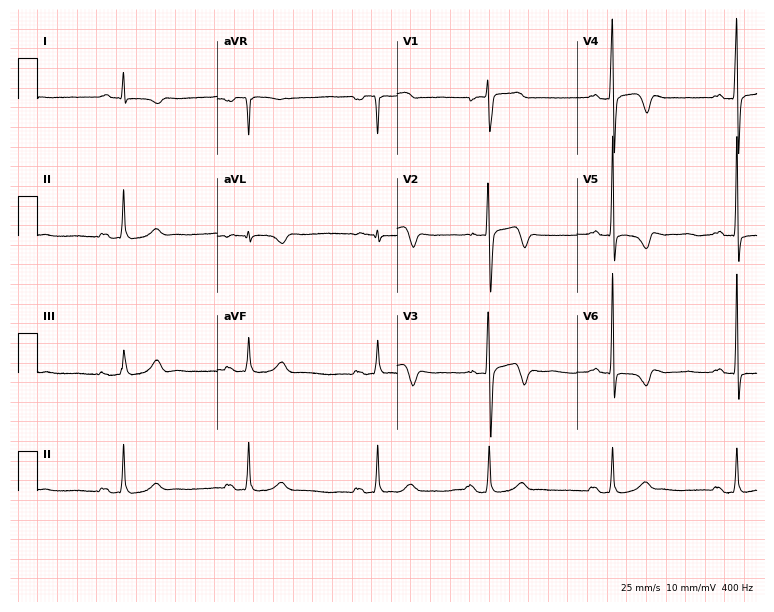
Electrocardiogram, a man, 56 years old. Of the six screened findings (first-degree AV block, right bundle branch block (RBBB), left bundle branch block (LBBB), sinus bradycardia, atrial fibrillation (AF), sinus tachycardia), none is recorded. Only these six findings were labelled.